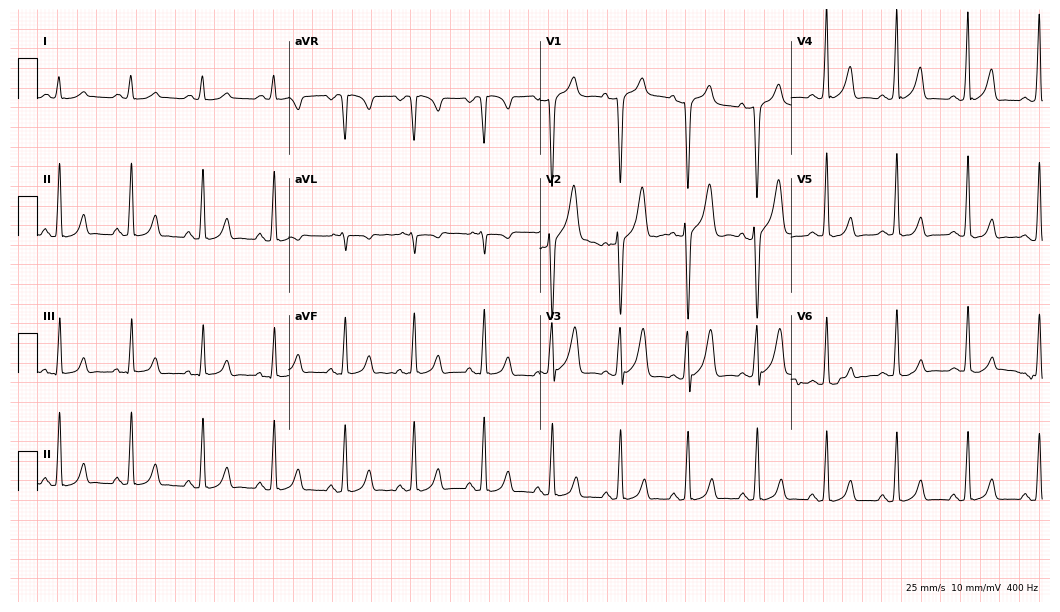
12-lead ECG from a 35-year-old man (10.2-second recording at 400 Hz). No first-degree AV block, right bundle branch block, left bundle branch block, sinus bradycardia, atrial fibrillation or sinus tachycardia recorded for this tracing.